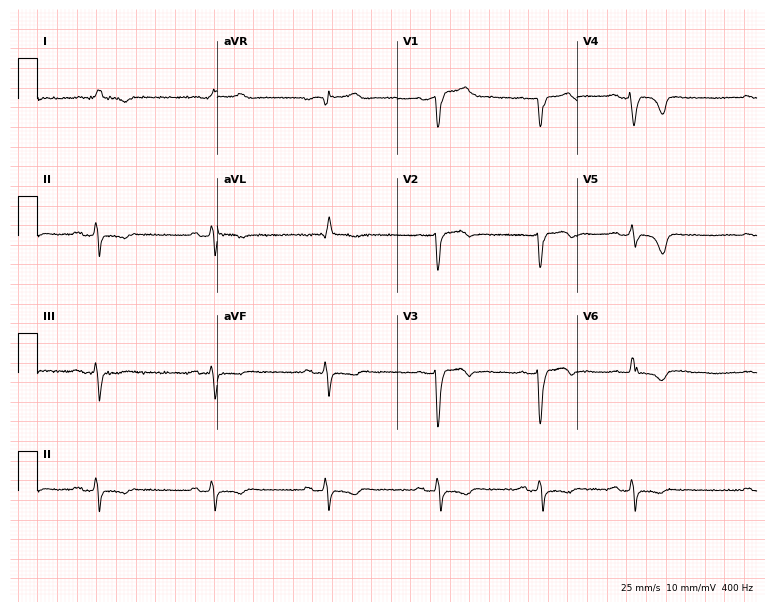
Resting 12-lead electrocardiogram (7.3-second recording at 400 Hz). Patient: a male, 83 years old. None of these six findings is recorded: first-degree AV block, right bundle branch block, left bundle branch block, sinus bradycardia, atrial fibrillation, sinus tachycardia.